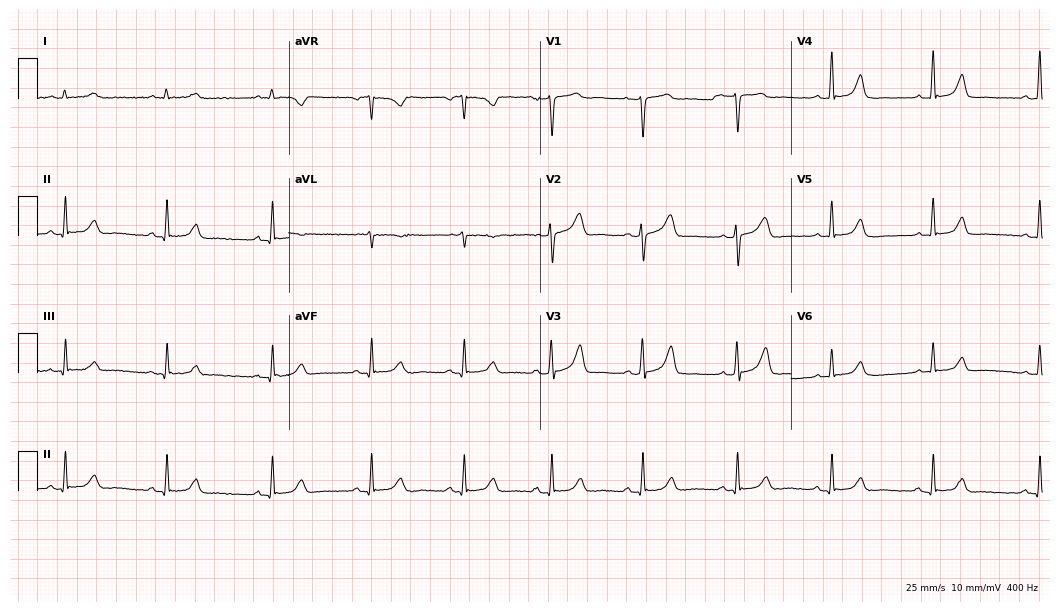
Electrocardiogram (10.2-second recording at 400 Hz), a 48-year-old female patient. Of the six screened findings (first-degree AV block, right bundle branch block (RBBB), left bundle branch block (LBBB), sinus bradycardia, atrial fibrillation (AF), sinus tachycardia), none is recorded. Only these six findings were labelled.